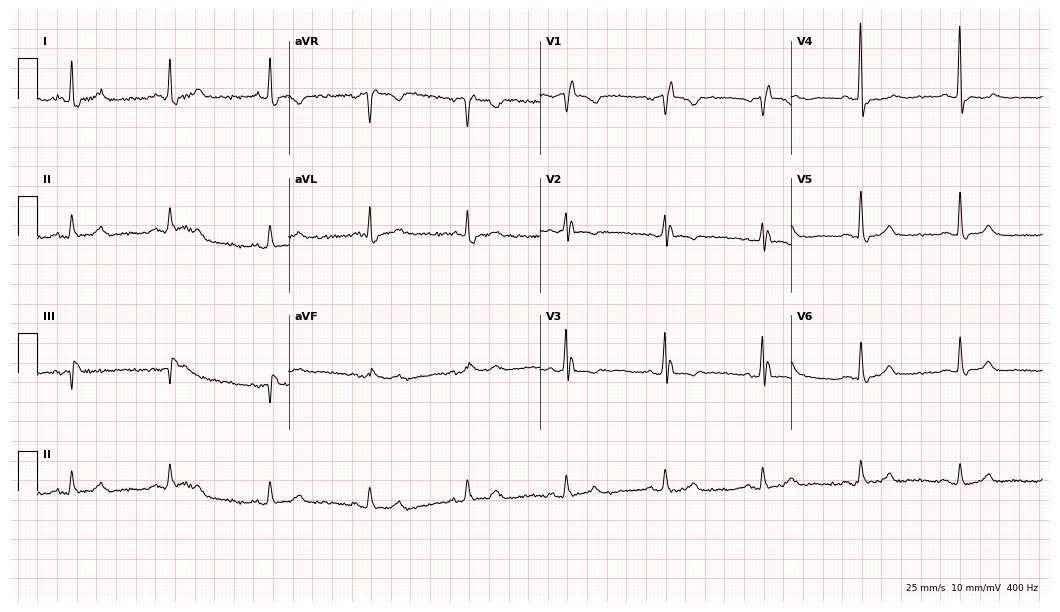
Resting 12-lead electrocardiogram. Patient: a female, 80 years old. The tracing shows right bundle branch block.